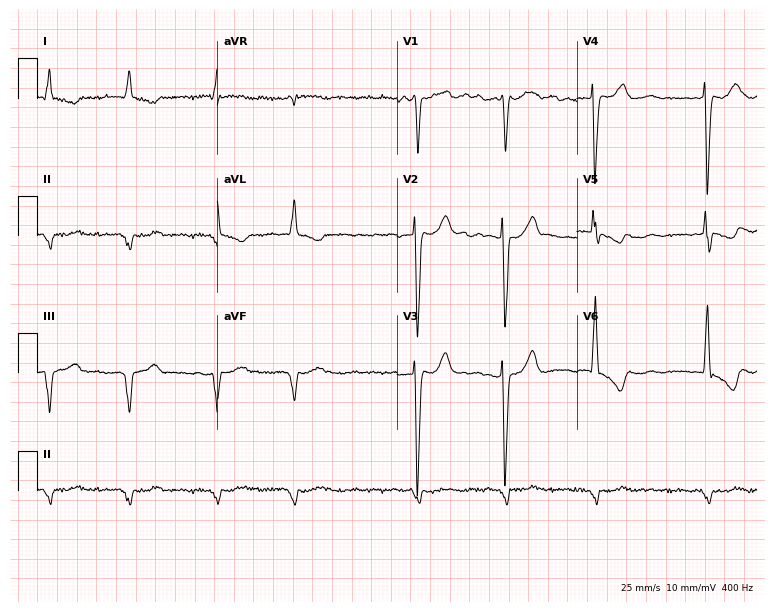
Resting 12-lead electrocardiogram (7.3-second recording at 400 Hz). Patient: a 75-year-old male. The tracing shows atrial fibrillation.